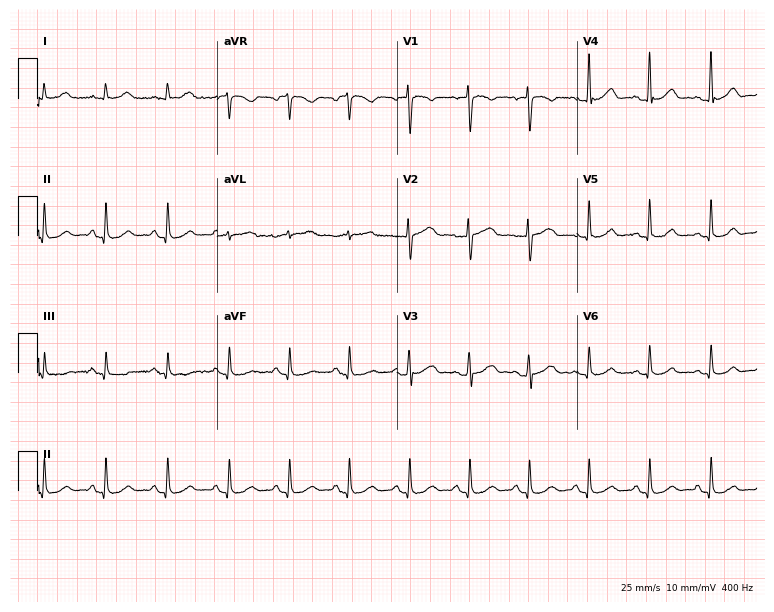
Electrocardiogram, a female patient, 38 years old. Overall reading on record: normal ECG.